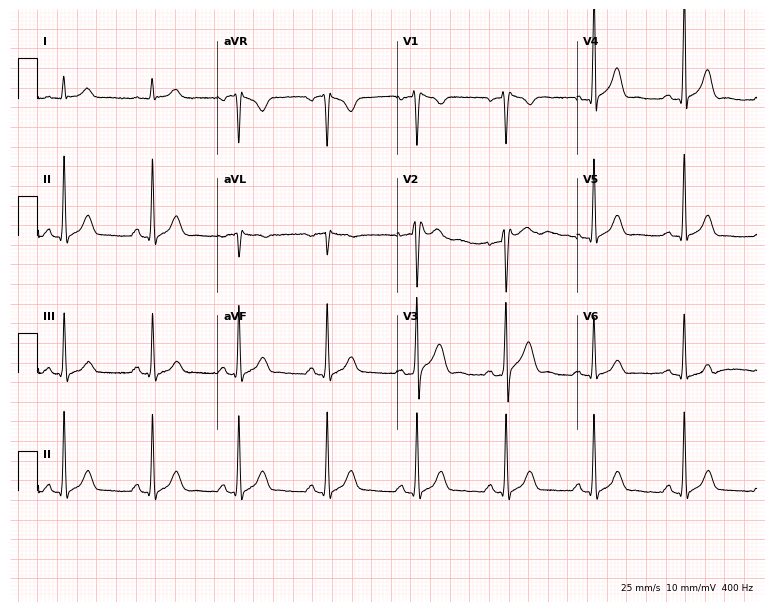
Resting 12-lead electrocardiogram. Patient: a 41-year-old man. Read as a normal ECG.